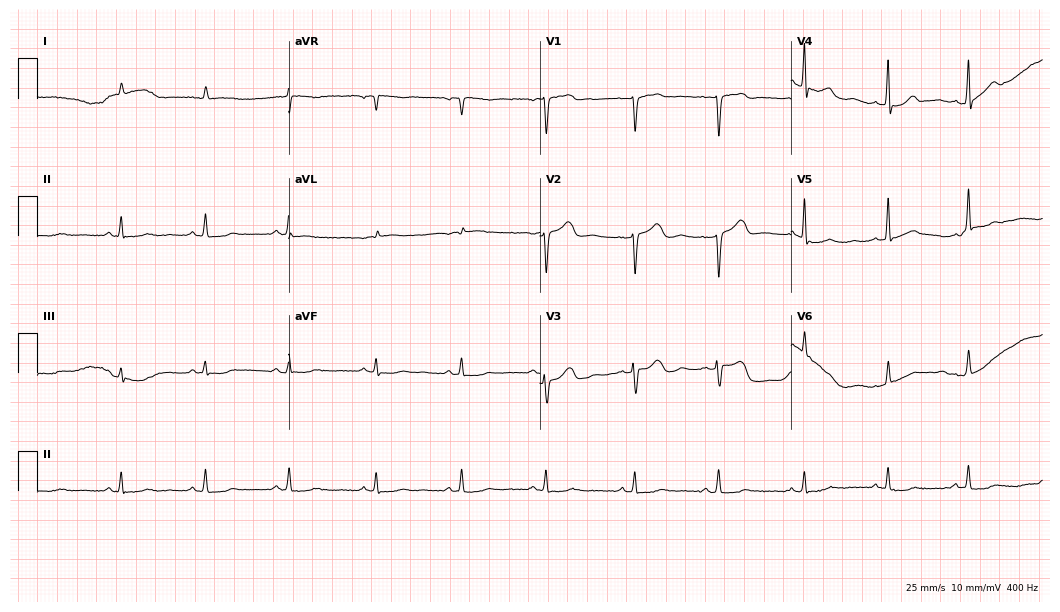
12-lead ECG (10.2-second recording at 400 Hz) from an 80-year-old female. Screened for six findings — first-degree AV block, right bundle branch block (RBBB), left bundle branch block (LBBB), sinus bradycardia, atrial fibrillation (AF), sinus tachycardia — none is recorded. Only these six findings were labelled.